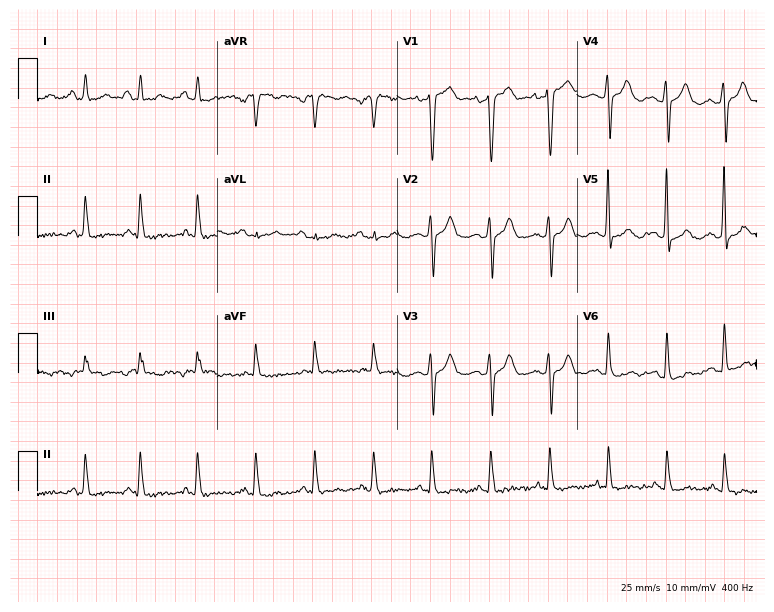
ECG — a 72-year-old male patient. Screened for six findings — first-degree AV block, right bundle branch block, left bundle branch block, sinus bradycardia, atrial fibrillation, sinus tachycardia — none is recorded. Only these six findings were labelled.